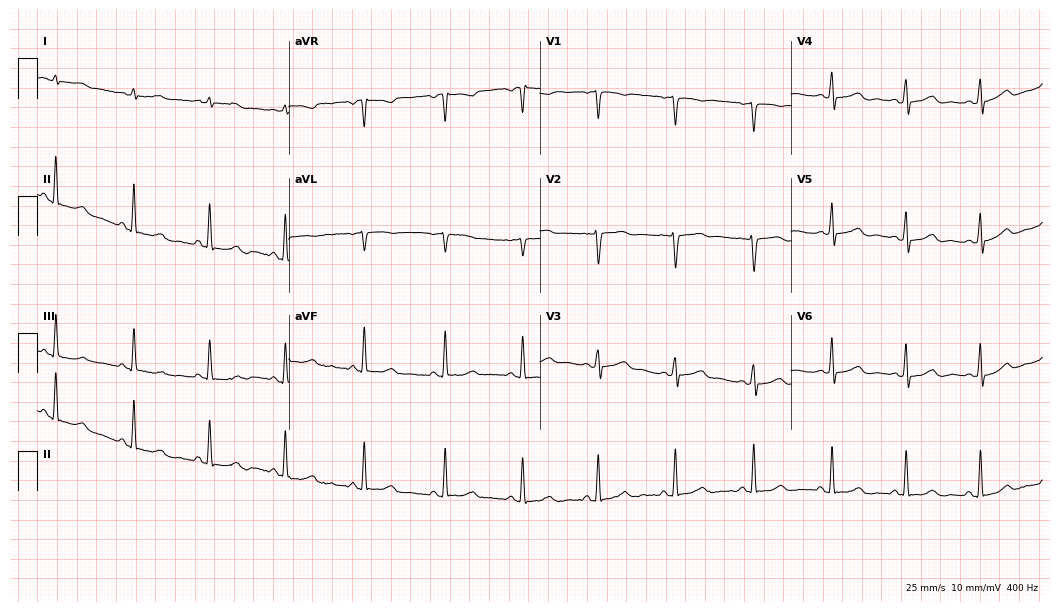
ECG — a female patient, 41 years old. Screened for six findings — first-degree AV block, right bundle branch block (RBBB), left bundle branch block (LBBB), sinus bradycardia, atrial fibrillation (AF), sinus tachycardia — none is recorded.